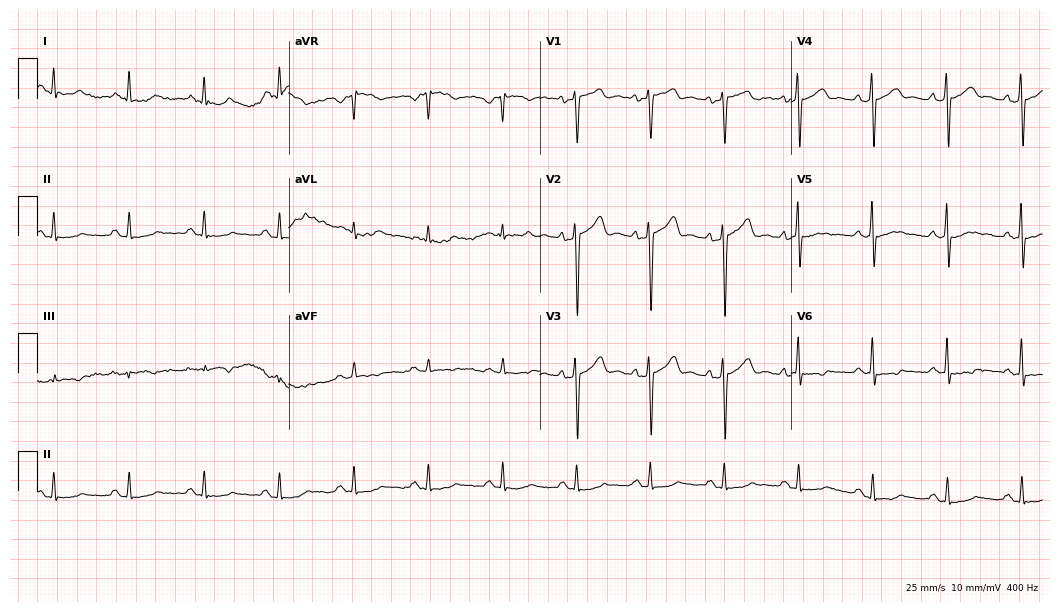
Standard 12-lead ECG recorded from a 47-year-old man. Read as a normal ECG.